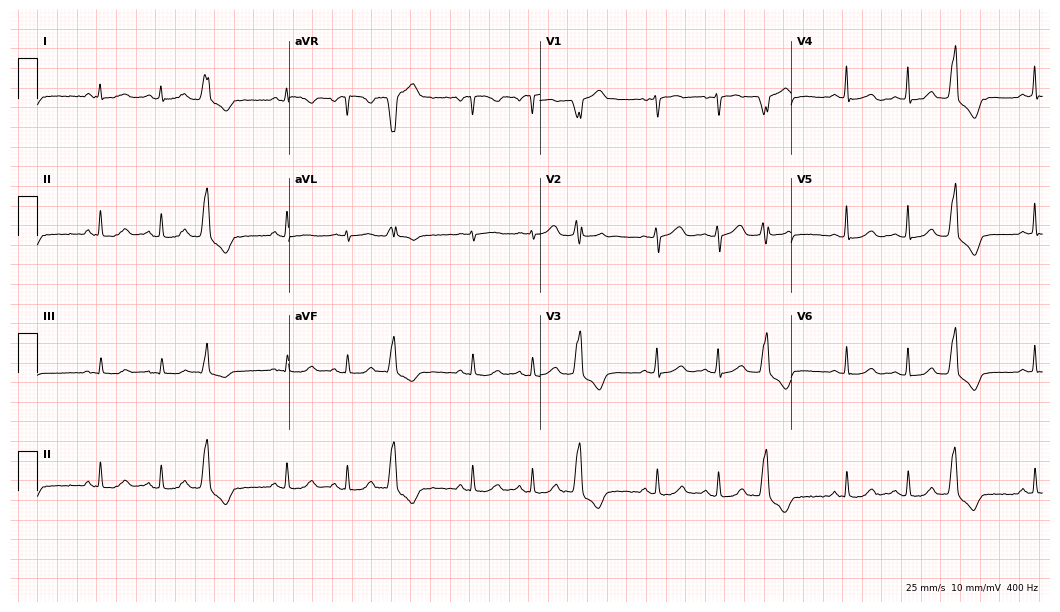
Electrocardiogram (10.2-second recording at 400 Hz), a 50-year-old female. Of the six screened findings (first-degree AV block, right bundle branch block, left bundle branch block, sinus bradycardia, atrial fibrillation, sinus tachycardia), none is recorded.